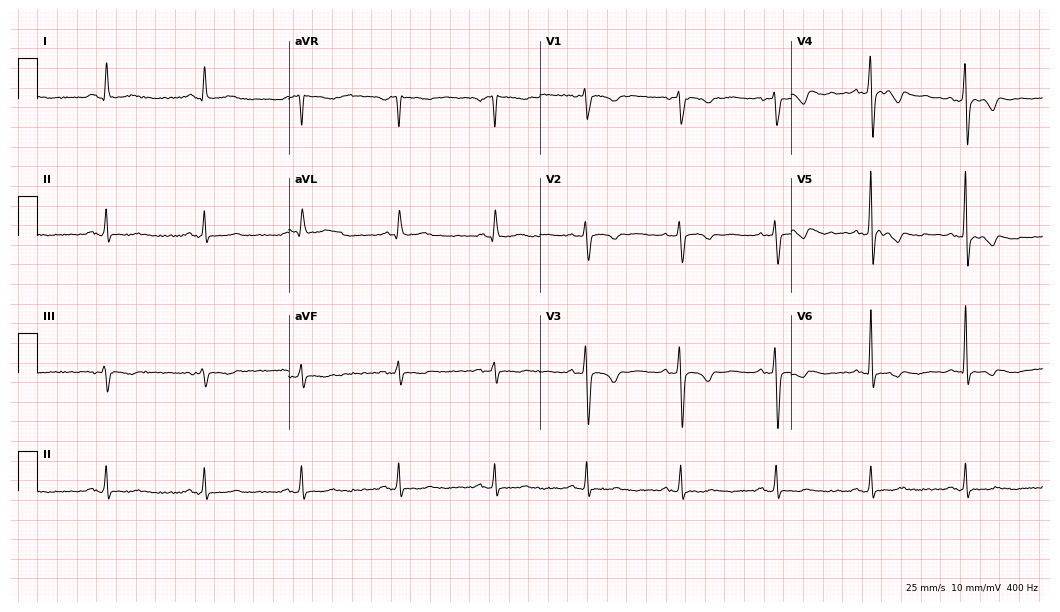
12-lead ECG (10.2-second recording at 400 Hz) from a 41-year-old female patient. Screened for six findings — first-degree AV block, right bundle branch block (RBBB), left bundle branch block (LBBB), sinus bradycardia, atrial fibrillation (AF), sinus tachycardia — none is recorded. Findings outside these six are not listed.